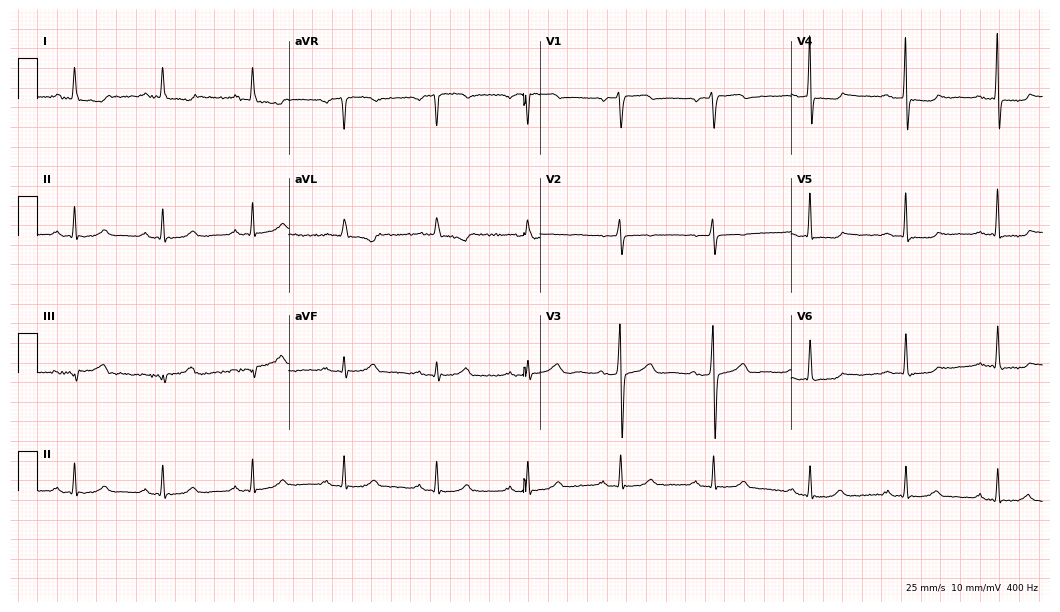
Electrocardiogram, a woman, 53 years old. Overall reading on record: normal ECG.